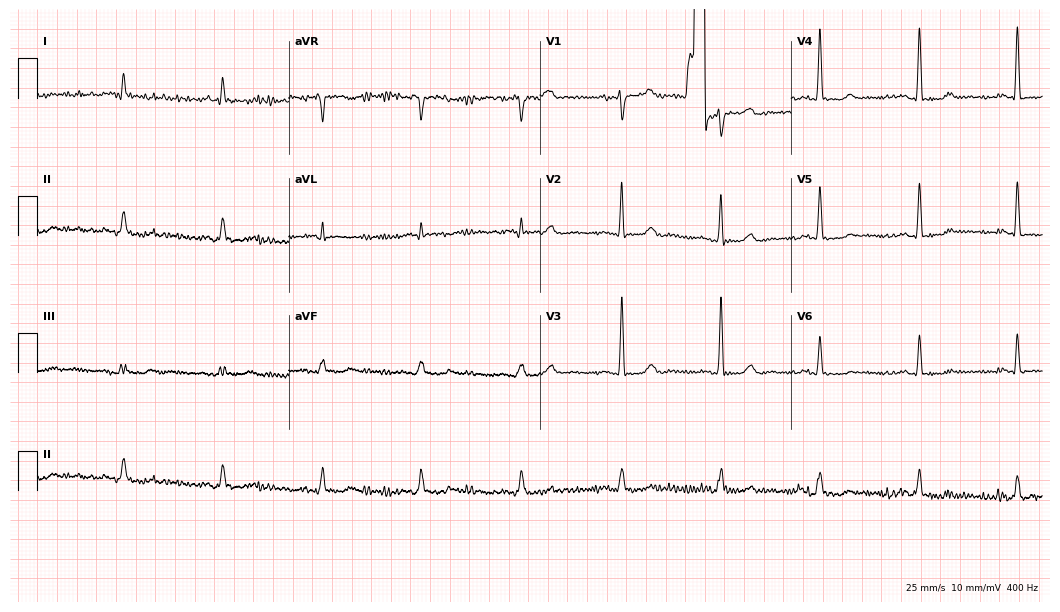
ECG — a 79-year-old male. Labelled as a normal ECG.